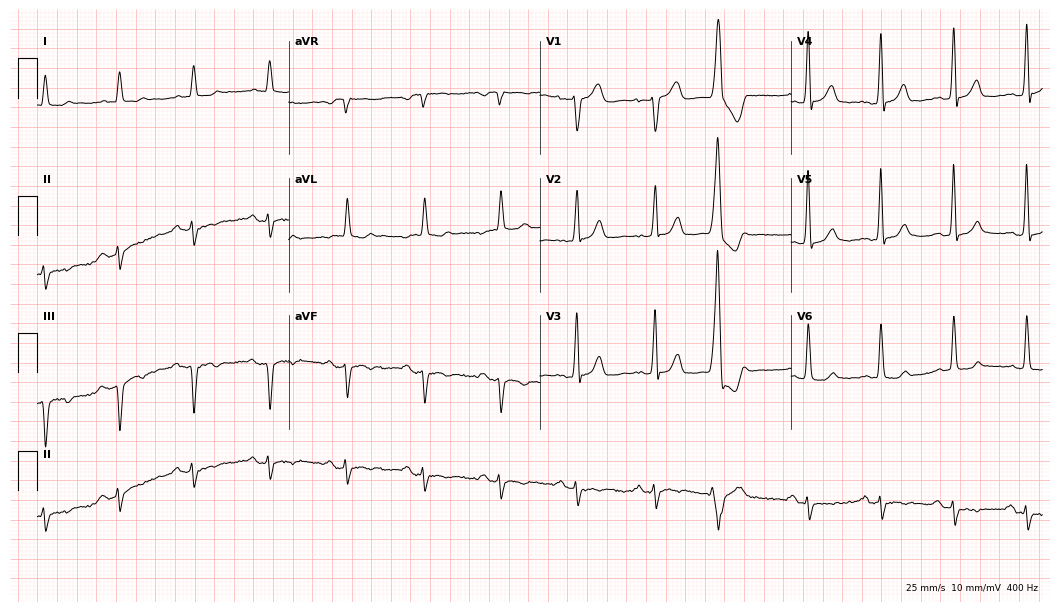
Electrocardiogram, a 79-year-old man. Of the six screened findings (first-degree AV block, right bundle branch block (RBBB), left bundle branch block (LBBB), sinus bradycardia, atrial fibrillation (AF), sinus tachycardia), none is recorded. Only these six findings were labelled.